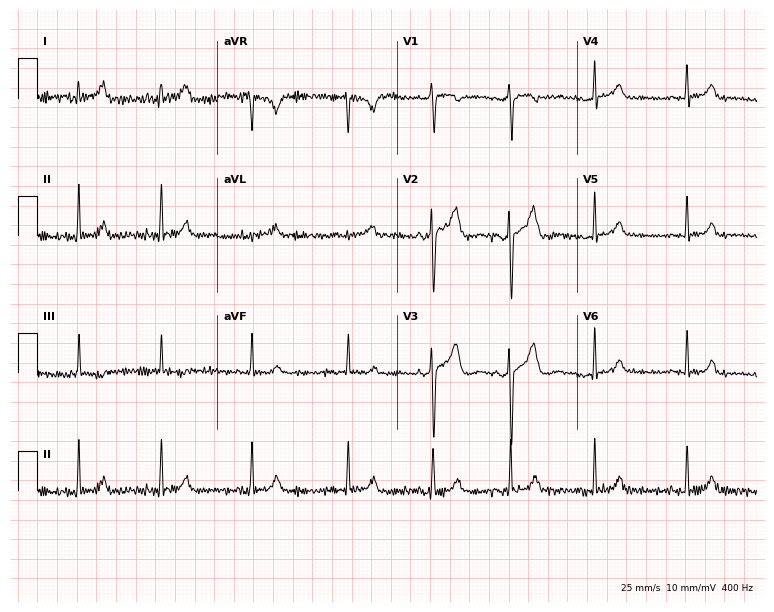
12-lead ECG from a 24-year-old woman. Screened for six findings — first-degree AV block, right bundle branch block (RBBB), left bundle branch block (LBBB), sinus bradycardia, atrial fibrillation (AF), sinus tachycardia — none is recorded. Findings outside these six are not listed.